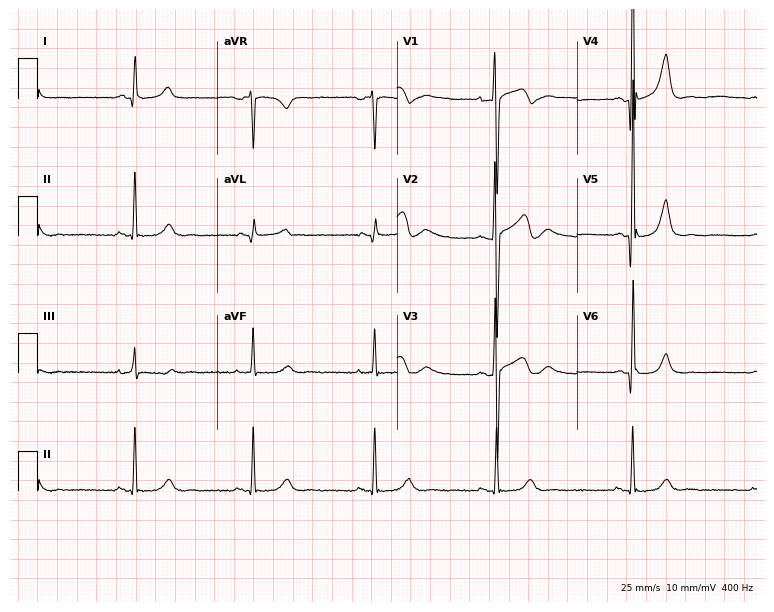
Standard 12-lead ECG recorded from a 24-year-old male (7.3-second recording at 400 Hz). The tracing shows sinus bradycardia (a sinus rate of 50 beats per minute or less).